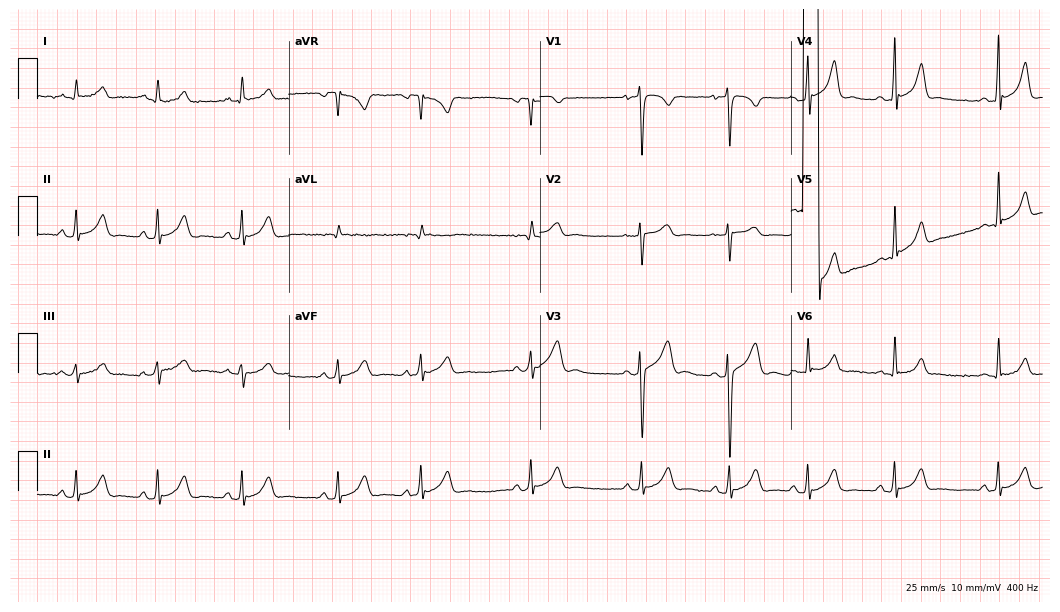
12-lead ECG from a 17-year-old male patient. Screened for six findings — first-degree AV block, right bundle branch block, left bundle branch block, sinus bradycardia, atrial fibrillation, sinus tachycardia — none is recorded. Findings outside these six are not listed.